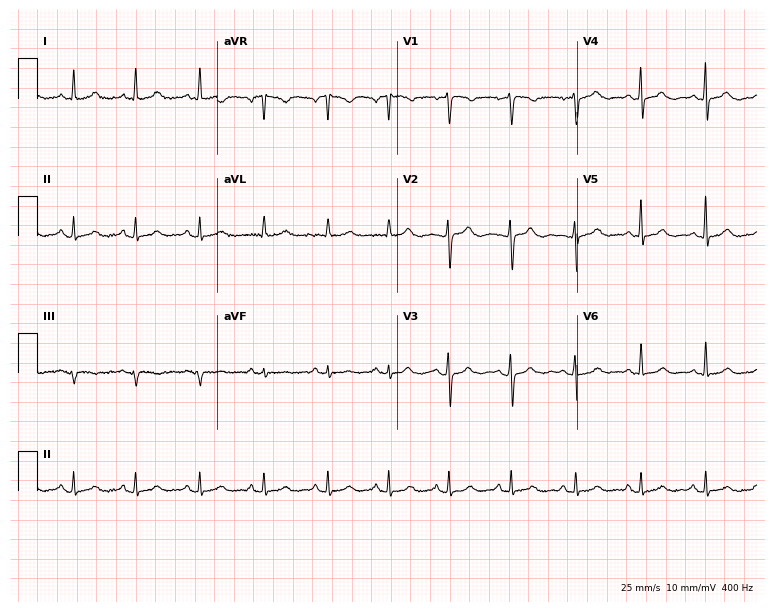
Resting 12-lead electrocardiogram. Patient: a woman, 40 years old. None of these six findings is recorded: first-degree AV block, right bundle branch block (RBBB), left bundle branch block (LBBB), sinus bradycardia, atrial fibrillation (AF), sinus tachycardia. Other findings, if any, are not listed.